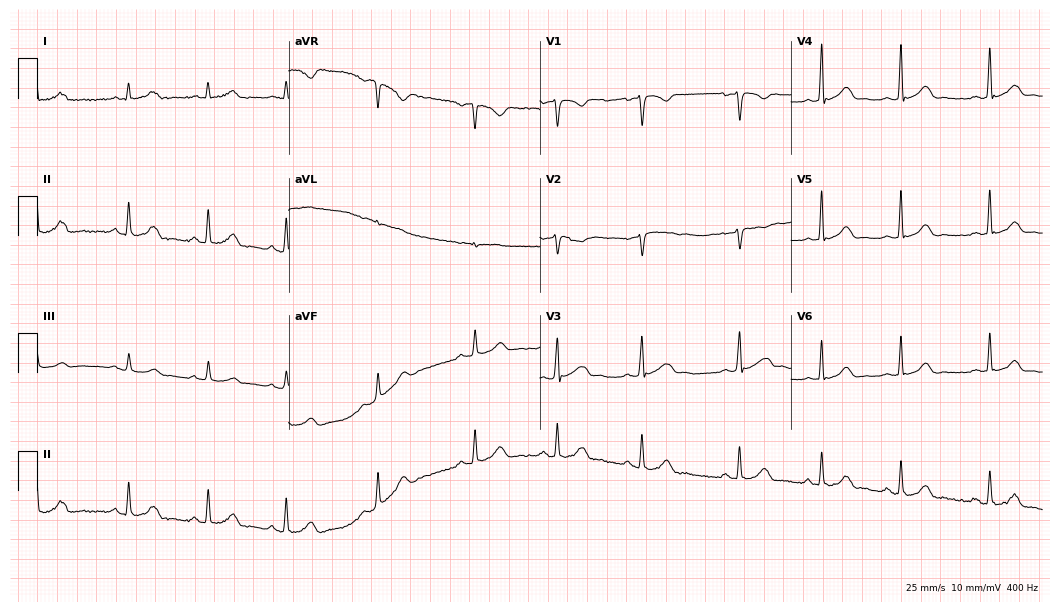
Standard 12-lead ECG recorded from a female, 23 years old. None of these six findings is recorded: first-degree AV block, right bundle branch block, left bundle branch block, sinus bradycardia, atrial fibrillation, sinus tachycardia.